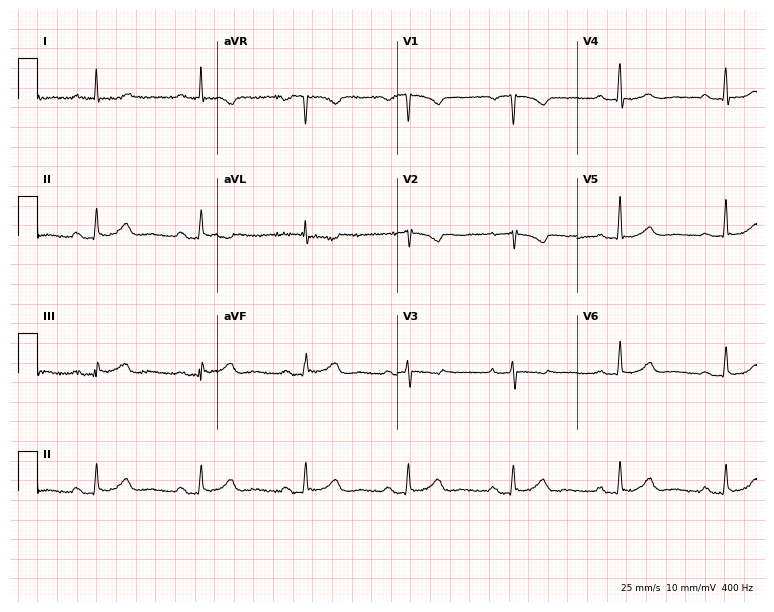
12-lead ECG (7.3-second recording at 400 Hz) from a woman, 80 years old. Findings include first-degree AV block.